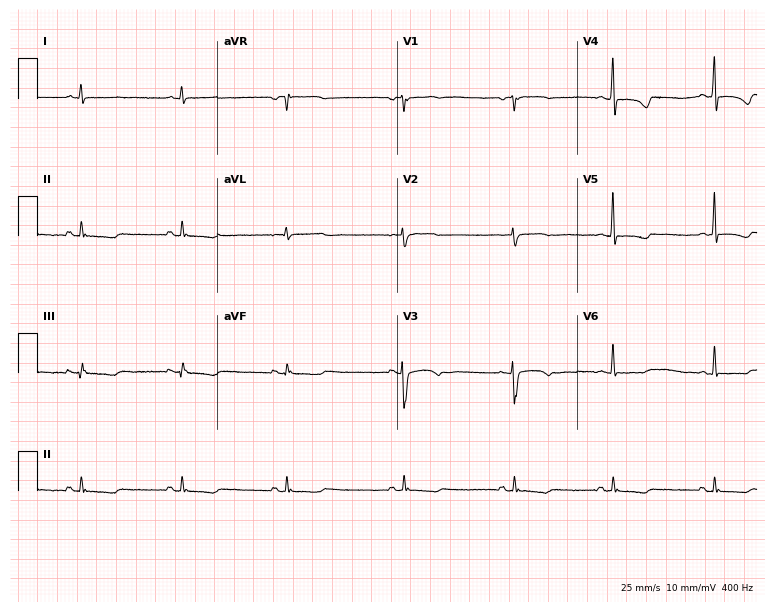
Electrocardiogram (7.3-second recording at 400 Hz), a female patient, 51 years old. Of the six screened findings (first-degree AV block, right bundle branch block, left bundle branch block, sinus bradycardia, atrial fibrillation, sinus tachycardia), none is recorded. Other findings, if any, are not listed.